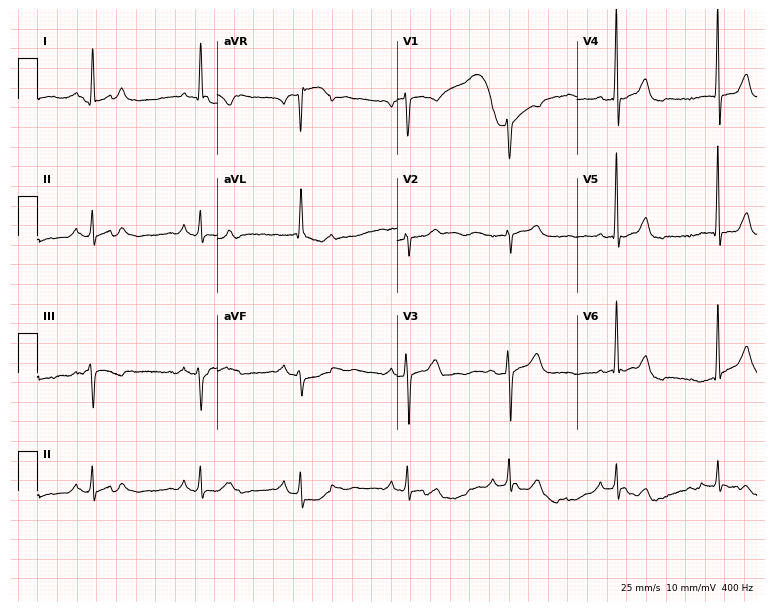
12-lead ECG from a 77-year-old woman. Labelled as a normal ECG.